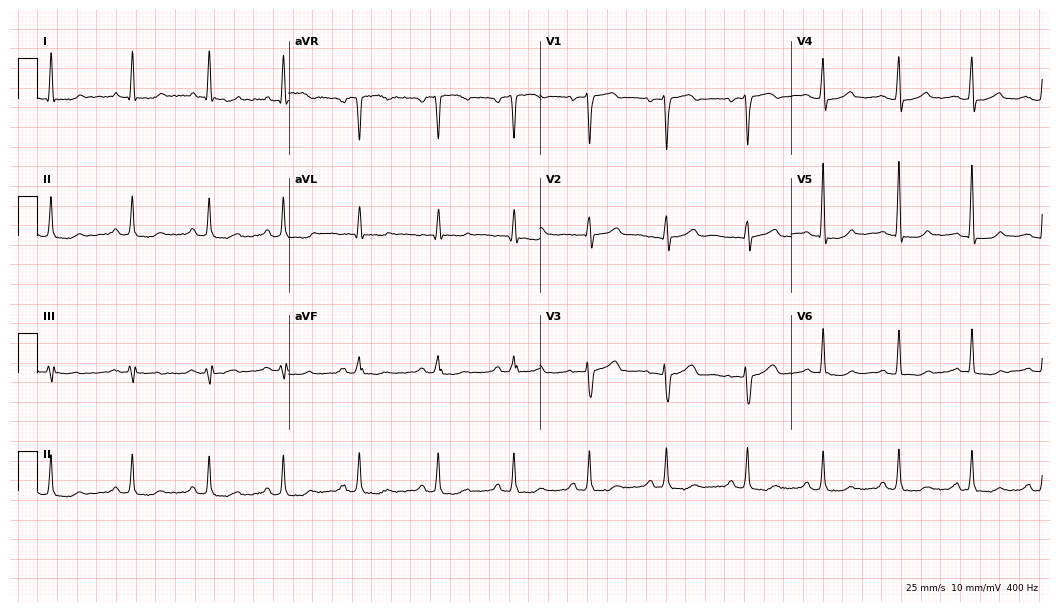
Resting 12-lead electrocardiogram (10.2-second recording at 400 Hz). Patient: a woman, 58 years old. None of these six findings is recorded: first-degree AV block, right bundle branch block (RBBB), left bundle branch block (LBBB), sinus bradycardia, atrial fibrillation (AF), sinus tachycardia.